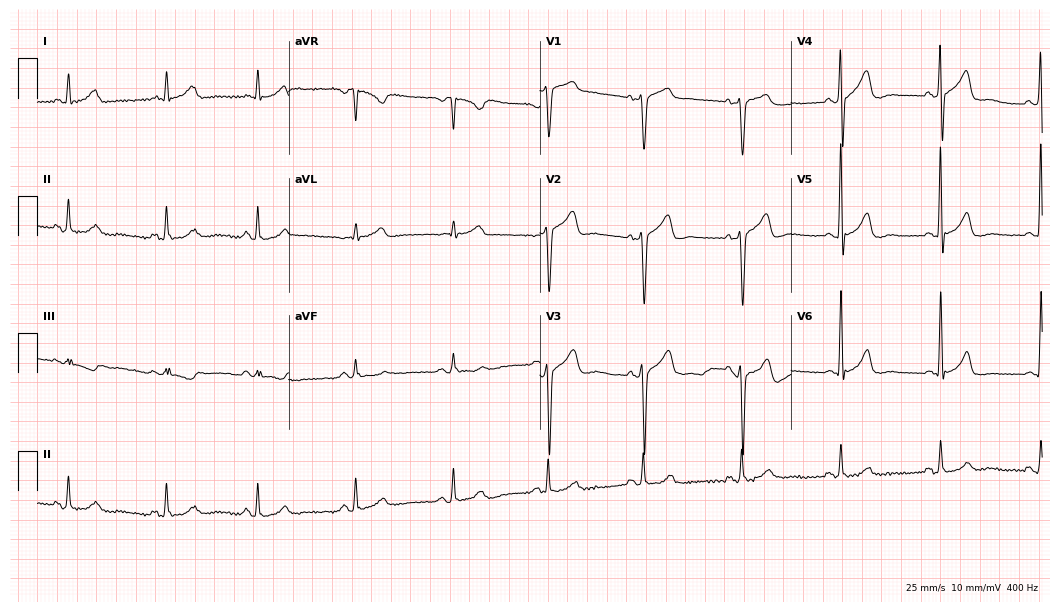
Electrocardiogram, a male patient, 62 years old. Of the six screened findings (first-degree AV block, right bundle branch block, left bundle branch block, sinus bradycardia, atrial fibrillation, sinus tachycardia), none is recorded.